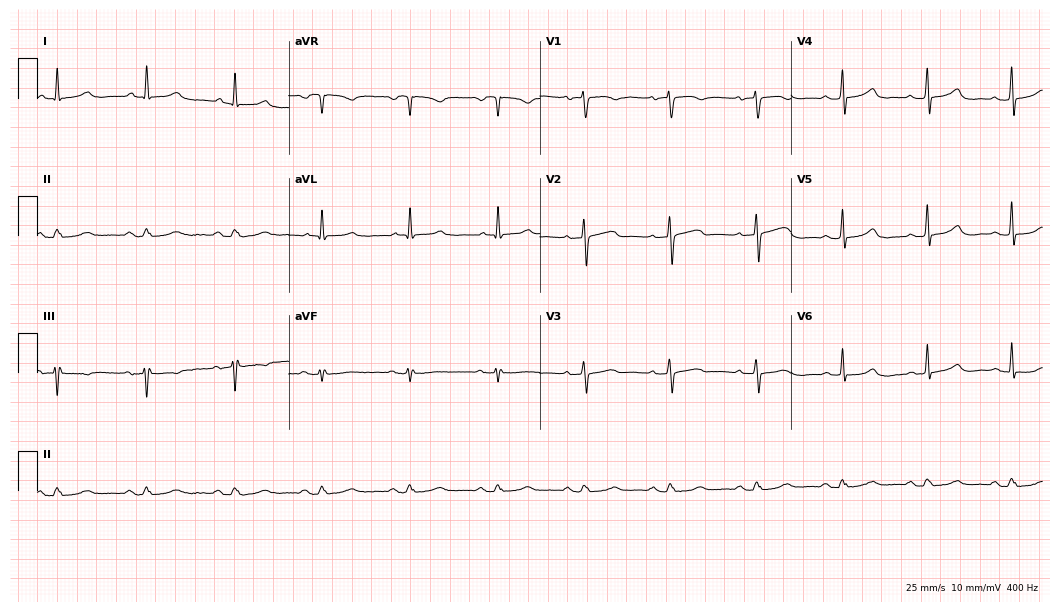
Standard 12-lead ECG recorded from a female patient, 70 years old (10.2-second recording at 400 Hz). Read as a normal ECG.